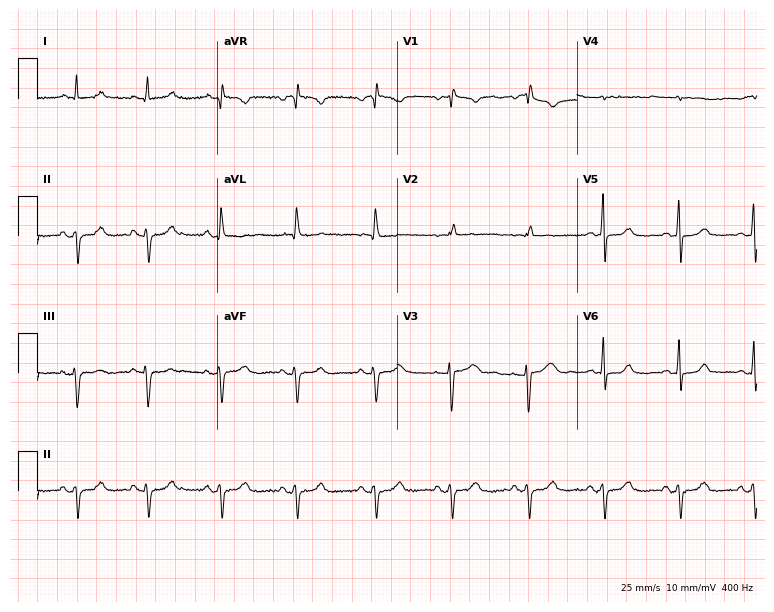
ECG — a 44-year-old female. Screened for six findings — first-degree AV block, right bundle branch block, left bundle branch block, sinus bradycardia, atrial fibrillation, sinus tachycardia — none is recorded. Other findings, if any, are not listed.